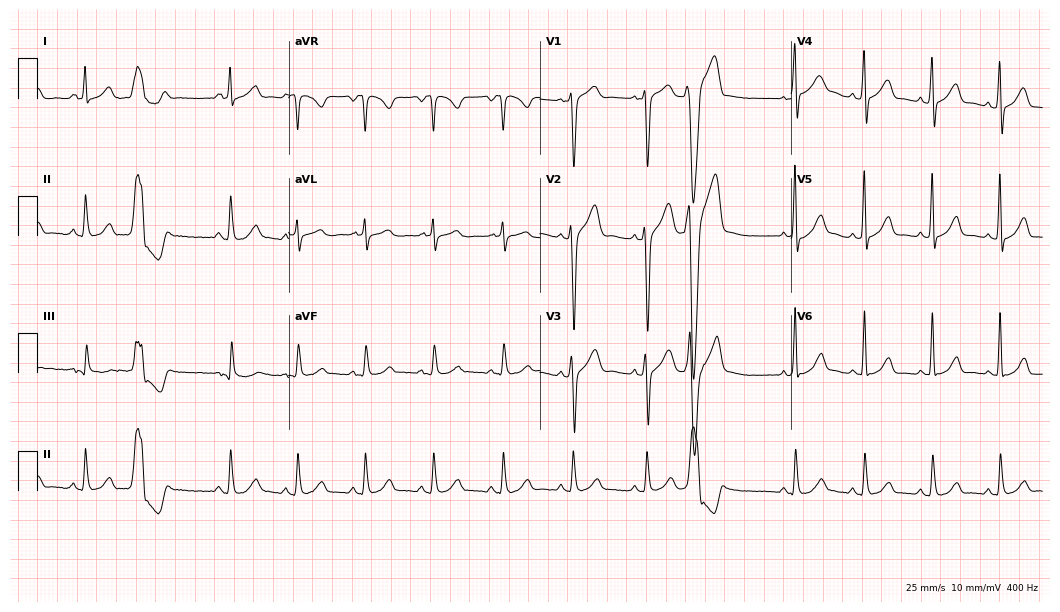
ECG — a 49-year-old male patient. Screened for six findings — first-degree AV block, right bundle branch block (RBBB), left bundle branch block (LBBB), sinus bradycardia, atrial fibrillation (AF), sinus tachycardia — none is recorded.